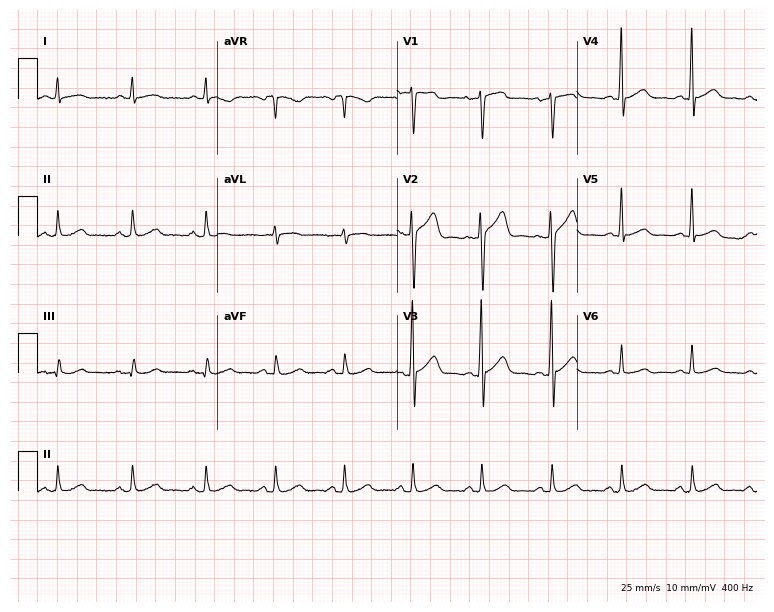
Resting 12-lead electrocardiogram (7.3-second recording at 400 Hz). Patient: a 60-year-old male. Read as a normal ECG.